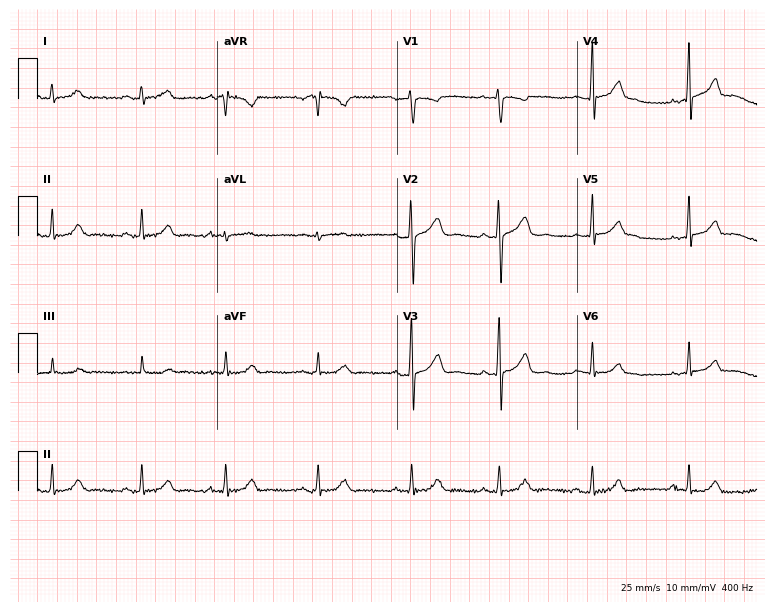
ECG (7.3-second recording at 400 Hz) — a 31-year-old female. Screened for six findings — first-degree AV block, right bundle branch block (RBBB), left bundle branch block (LBBB), sinus bradycardia, atrial fibrillation (AF), sinus tachycardia — none is recorded. Only these six findings were labelled.